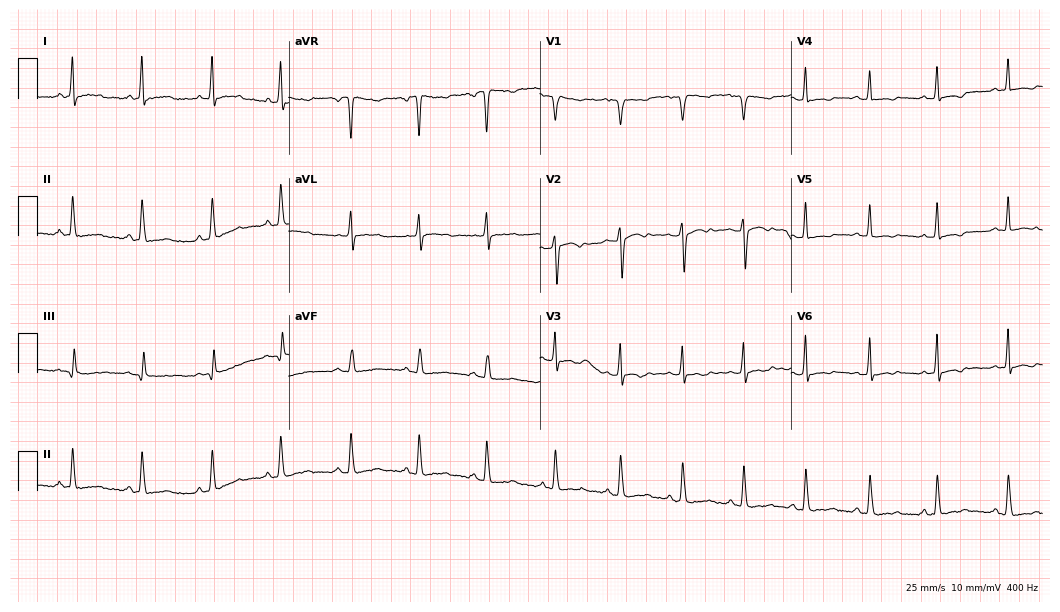
12-lead ECG (10.2-second recording at 400 Hz) from a 33-year-old female patient. Screened for six findings — first-degree AV block, right bundle branch block, left bundle branch block, sinus bradycardia, atrial fibrillation, sinus tachycardia — none is recorded.